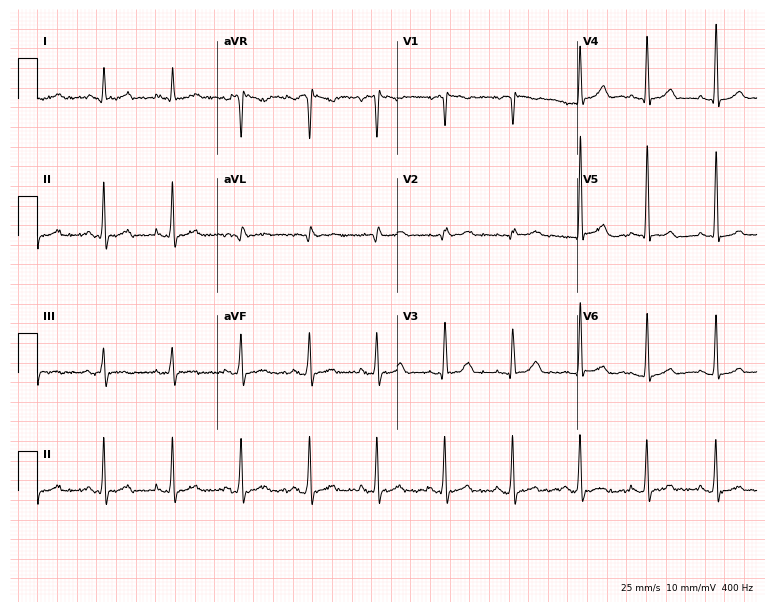
Electrocardiogram, a 67-year-old woman. Of the six screened findings (first-degree AV block, right bundle branch block, left bundle branch block, sinus bradycardia, atrial fibrillation, sinus tachycardia), none is recorded. Only these six findings were labelled.